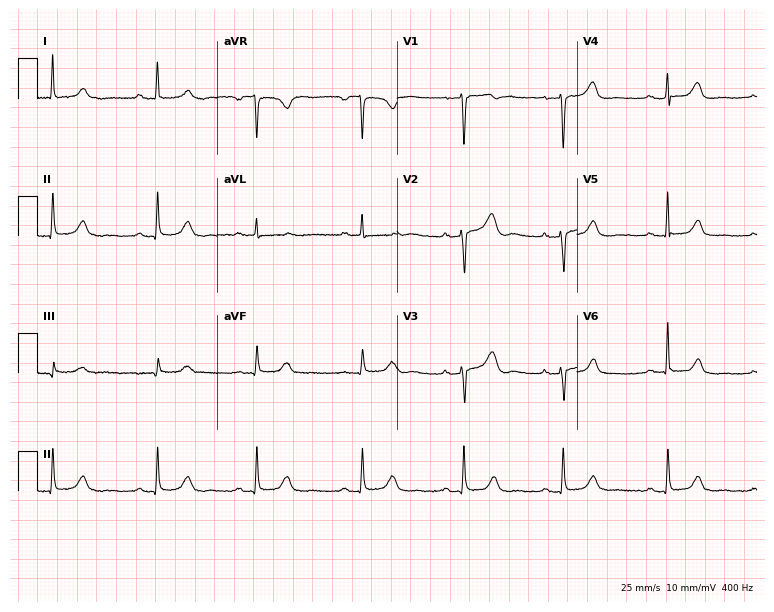
ECG — a female, 52 years old. Labelled as a normal ECG.